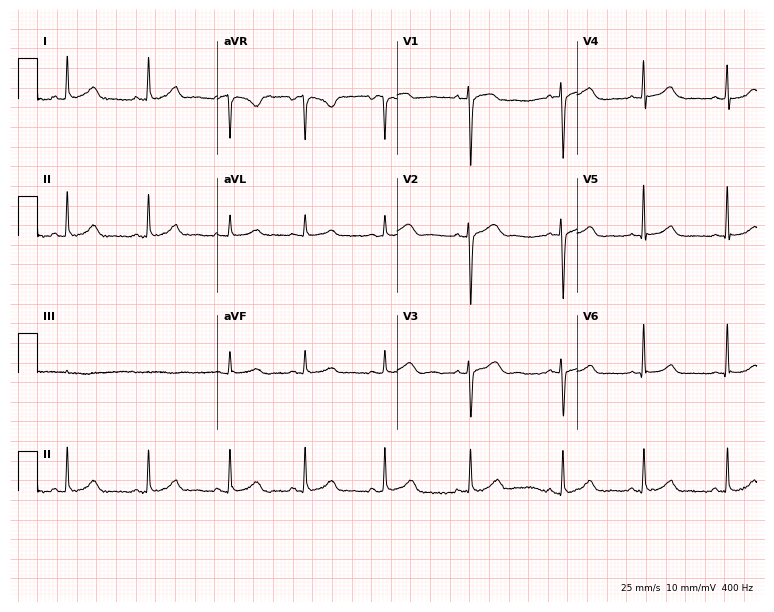
Resting 12-lead electrocardiogram (7.3-second recording at 400 Hz). Patient: a female, 26 years old. Read as a normal ECG.